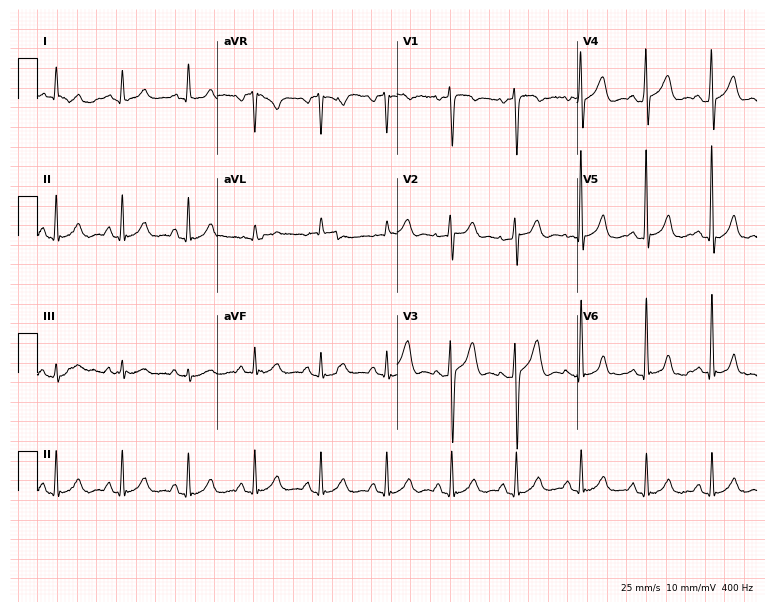
Resting 12-lead electrocardiogram. Patient: a male, 48 years old. Read as a normal ECG.